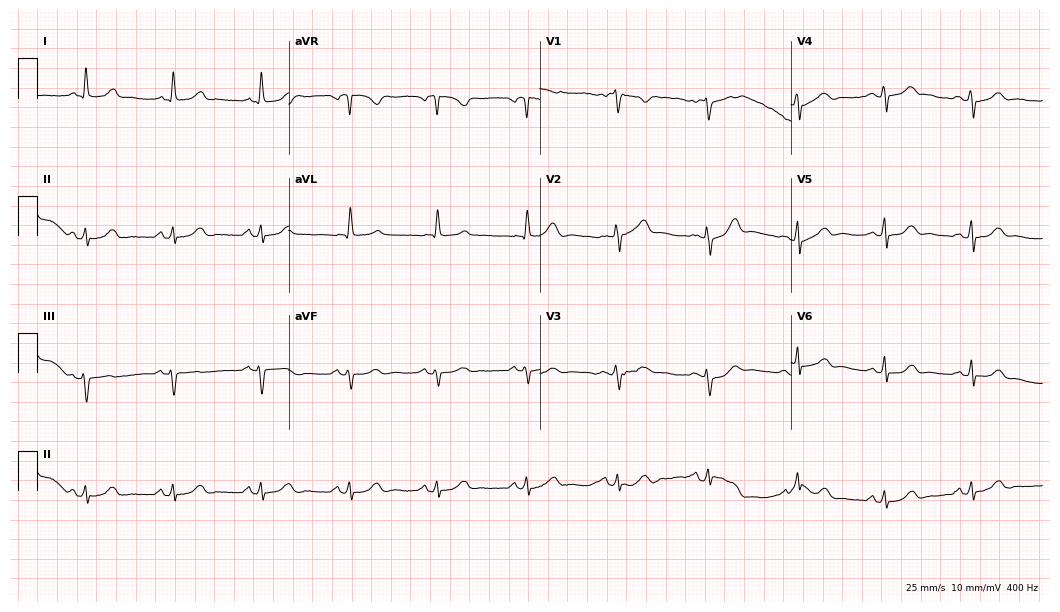
Standard 12-lead ECG recorded from a female, 62 years old (10.2-second recording at 400 Hz). None of these six findings is recorded: first-degree AV block, right bundle branch block, left bundle branch block, sinus bradycardia, atrial fibrillation, sinus tachycardia.